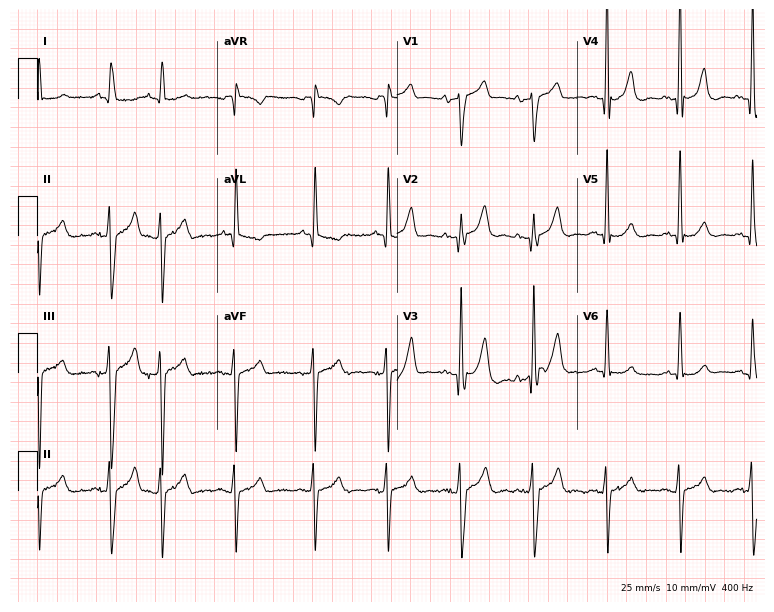
12-lead ECG from an 82-year-old man. Screened for six findings — first-degree AV block, right bundle branch block (RBBB), left bundle branch block (LBBB), sinus bradycardia, atrial fibrillation (AF), sinus tachycardia — none is recorded. Findings outside these six are not listed.